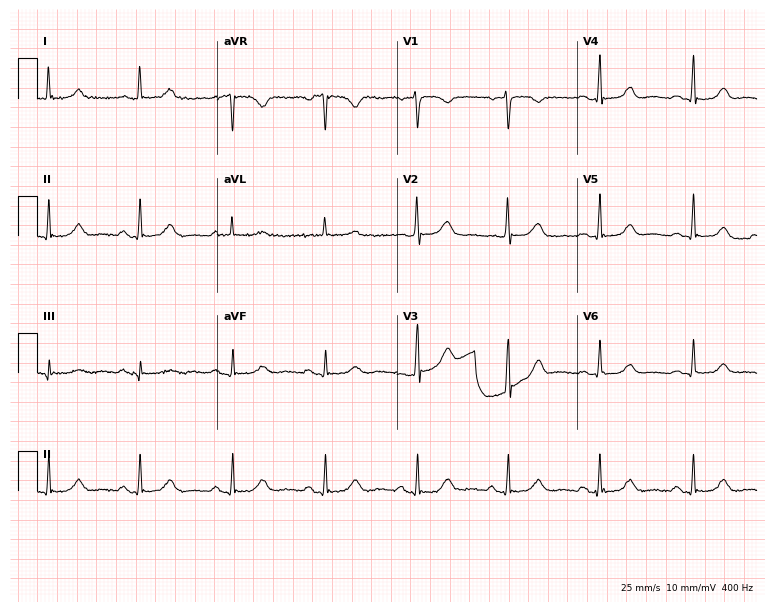
Resting 12-lead electrocardiogram (7.3-second recording at 400 Hz). Patient: a woman, 74 years old. Read as a normal ECG.